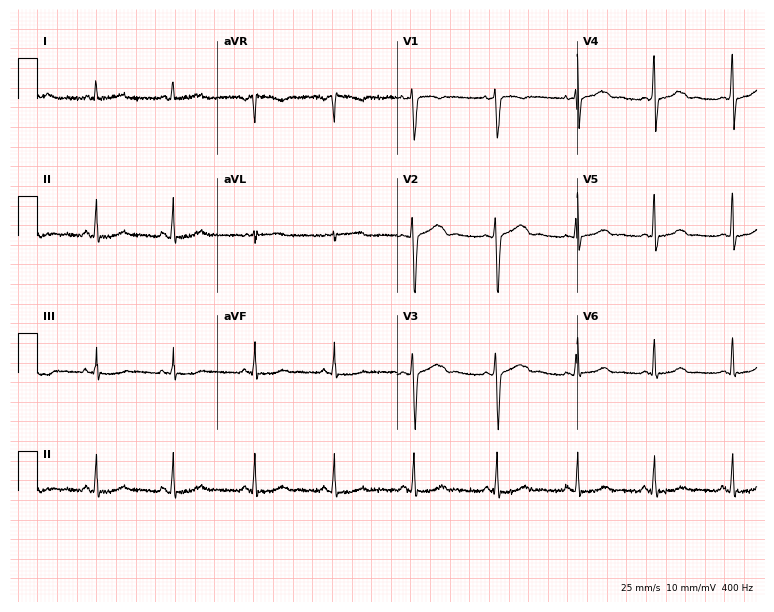
Electrocardiogram (7.3-second recording at 400 Hz), a female, 34 years old. Of the six screened findings (first-degree AV block, right bundle branch block (RBBB), left bundle branch block (LBBB), sinus bradycardia, atrial fibrillation (AF), sinus tachycardia), none is recorded.